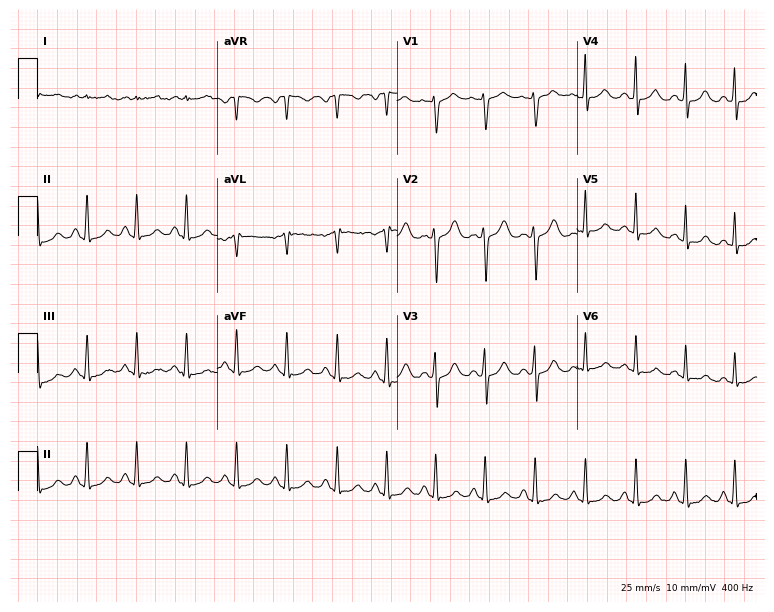
Standard 12-lead ECG recorded from a 40-year-old woman (7.3-second recording at 400 Hz). None of these six findings is recorded: first-degree AV block, right bundle branch block (RBBB), left bundle branch block (LBBB), sinus bradycardia, atrial fibrillation (AF), sinus tachycardia.